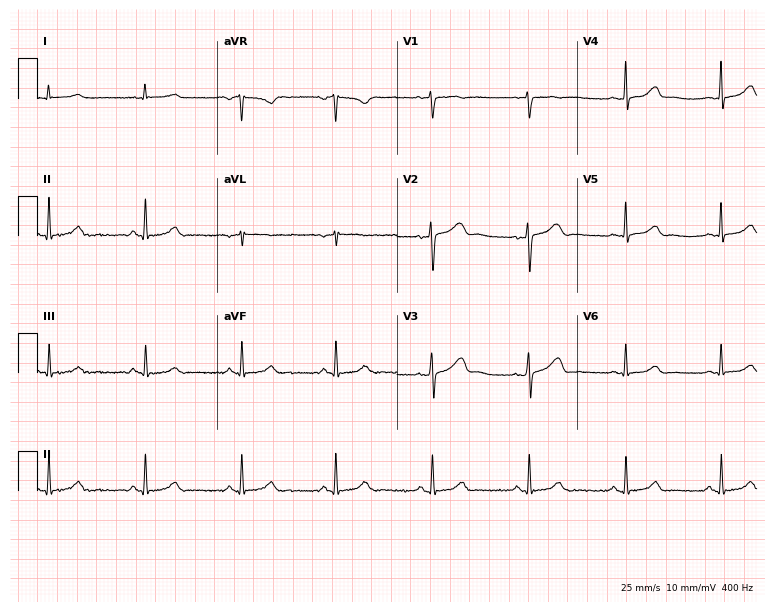
Standard 12-lead ECG recorded from a female patient, 28 years old (7.3-second recording at 400 Hz). Read as a normal ECG.